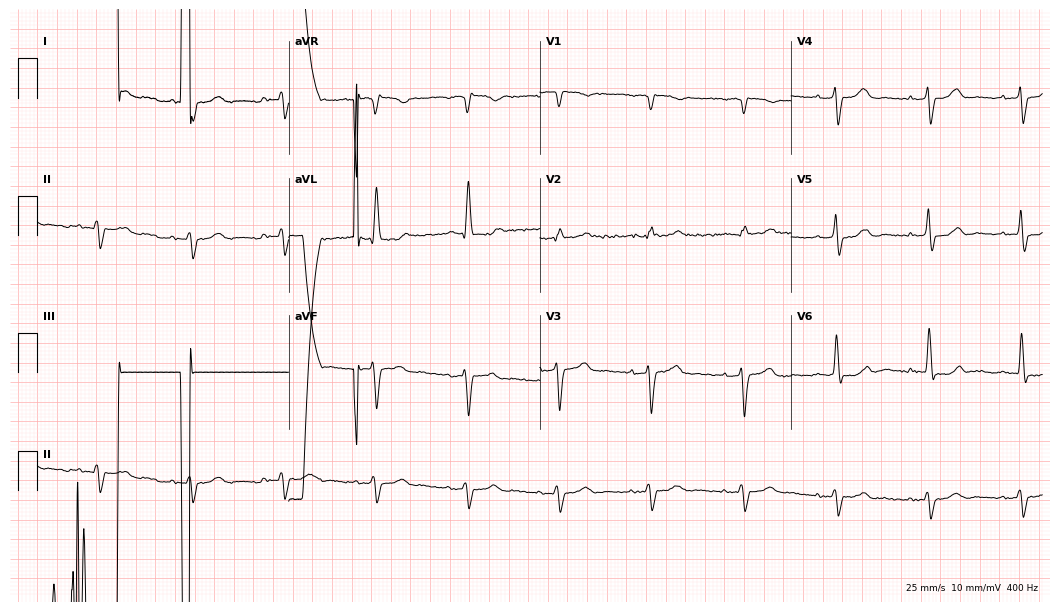
12-lead ECG from a man, 81 years old (10.2-second recording at 400 Hz). No first-degree AV block, right bundle branch block, left bundle branch block, sinus bradycardia, atrial fibrillation or sinus tachycardia recorded for this tracing. Findings outside these six are not listed.